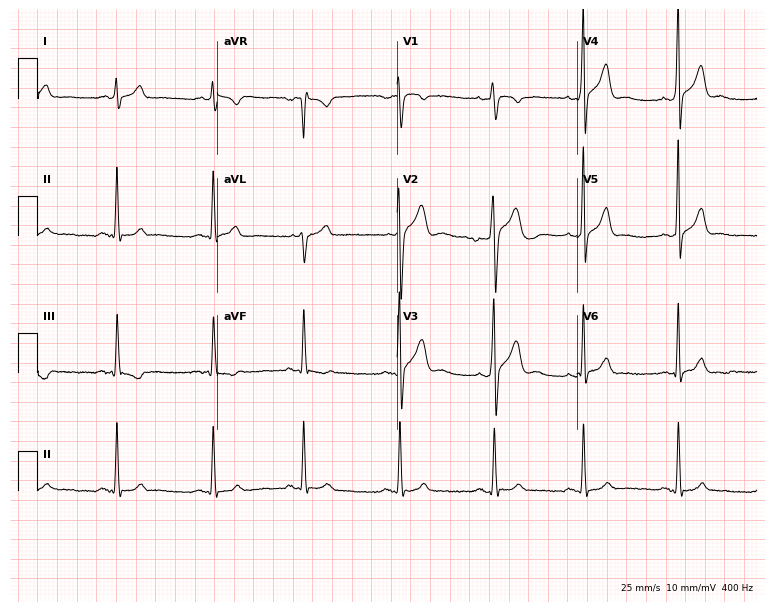
12-lead ECG from a man, 19 years old. Labelled as a normal ECG.